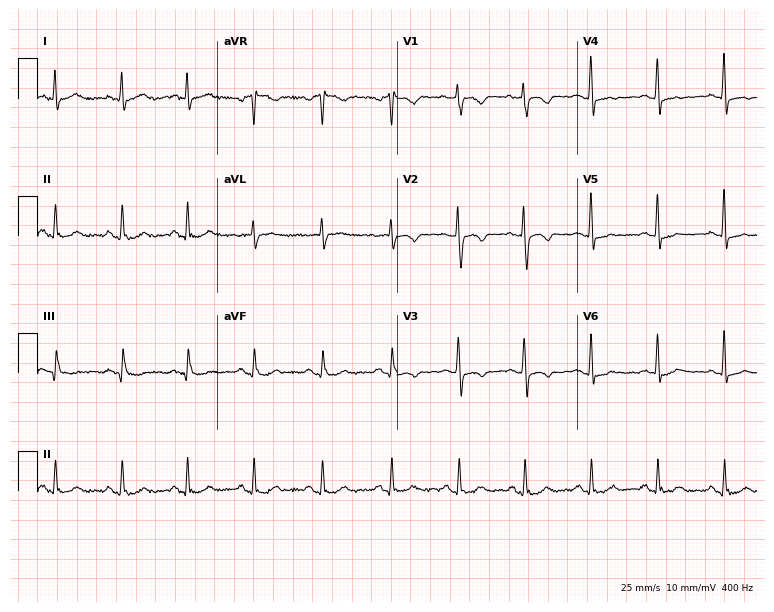
12-lead ECG (7.3-second recording at 400 Hz) from a 54-year-old female. Screened for six findings — first-degree AV block, right bundle branch block (RBBB), left bundle branch block (LBBB), sinus bradycardia, atrial fibrillation (AF), sinus tachycardia — none is recorded.